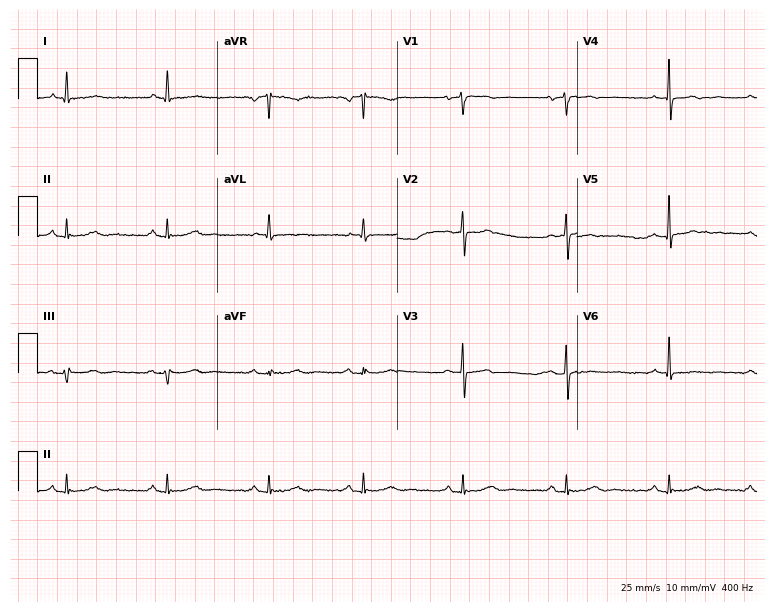
12-lead ECG (7.3-second recording at 400 Hz) from a 53-year-old woman. Screened for six findings — first-degree AV block, right bundle branch block, left bundle branch block, sinus bradycardia, atrial fibrillation, sinus tachycardia — none is recorded. Other findings, if any, are not listed.